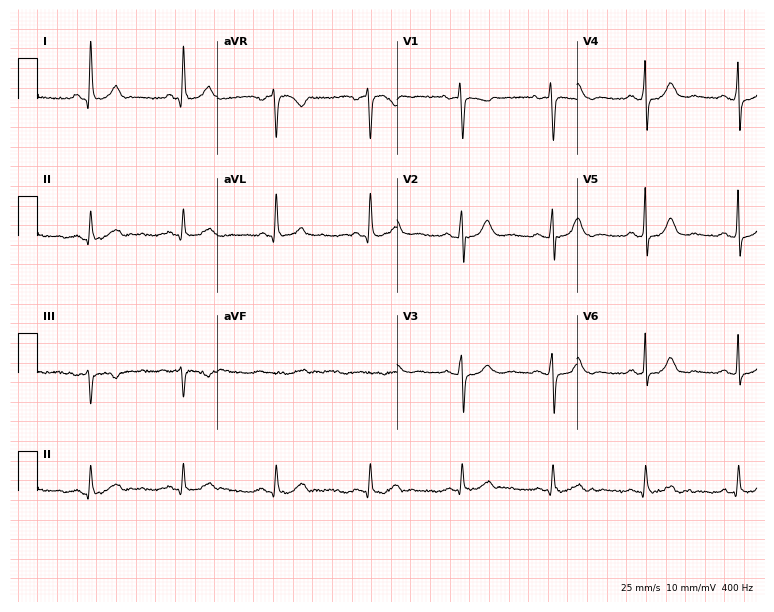
12-lead ECG from a 66-year-old female. Screened for six findings — first-degree AV block, right bundle branch block, left bundle branch block, sinus bradycardia, atrial fibrillation, sinus tachycardia — none is recorded. Other findings, if any, are not listed.